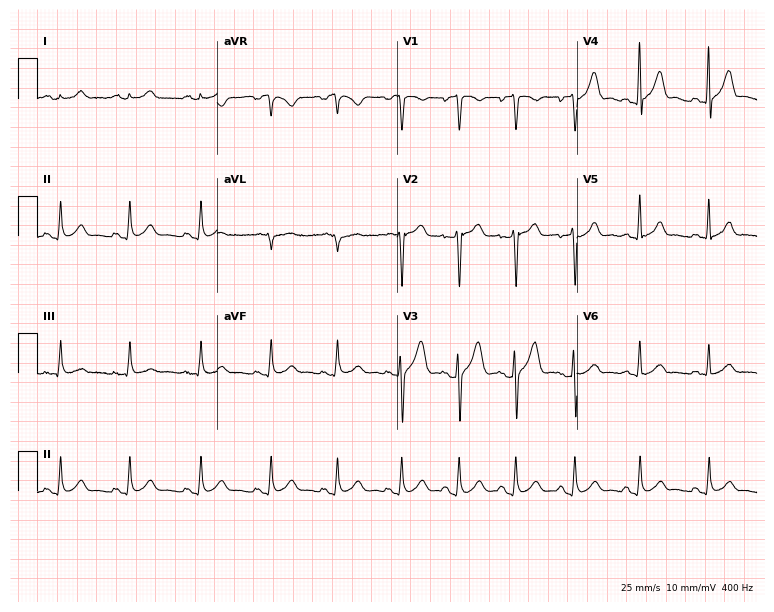
12-lead ECG from a man, 20 years old. Recorded interpretation: within normal limits.